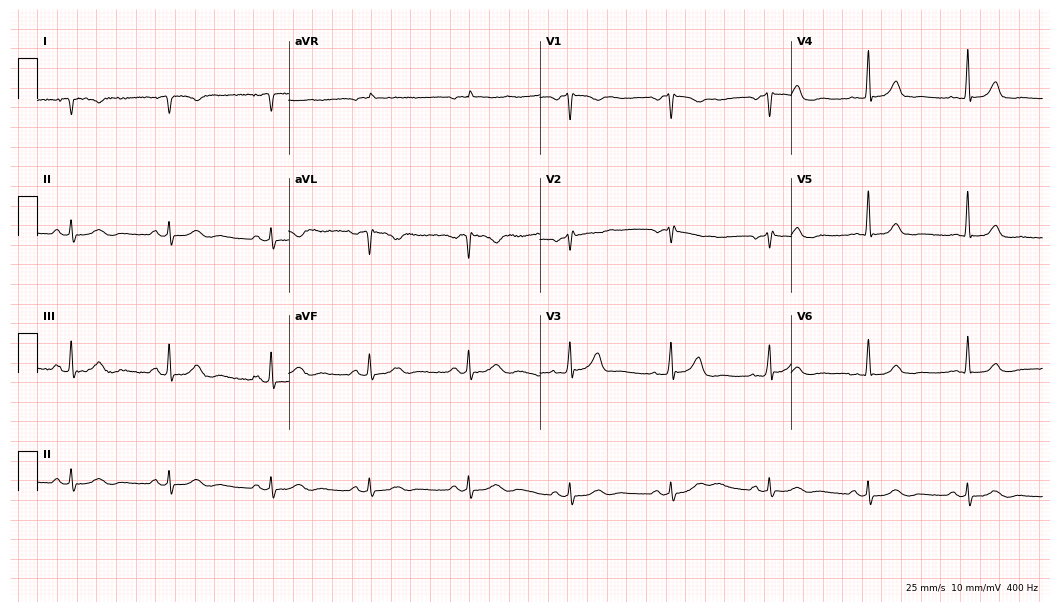
Standard 12-lead ECG recorded from a male, 76 years old. None of these six findings is recorded: first-degree AV block, right bundle branch block (RBBB), left bundle branch block (LBBB), sinus bradycardia, atrial fibrillation (AF), sinus tachycardia.